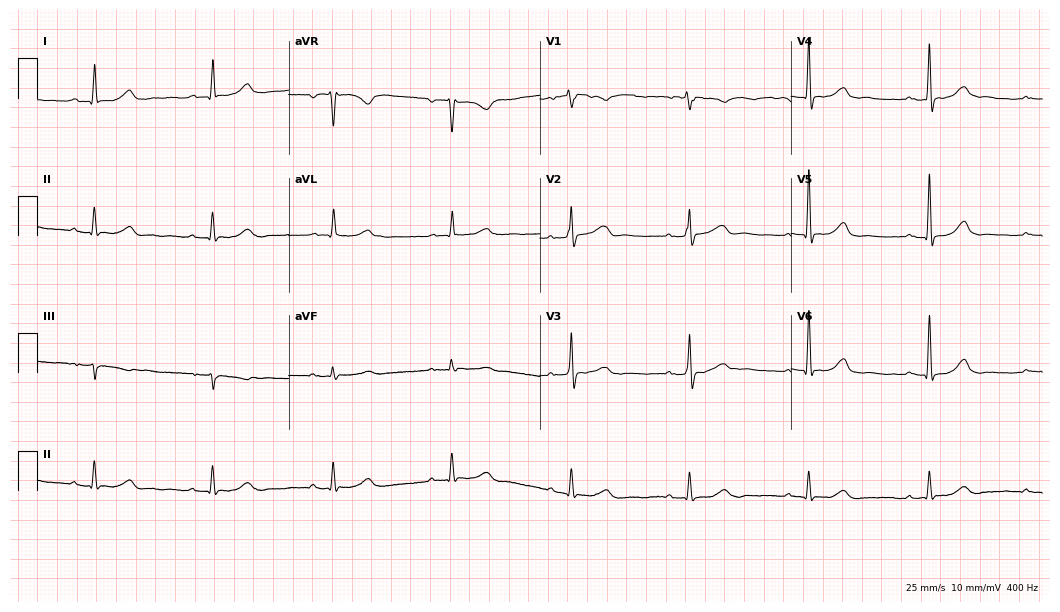
ECG (10.2-second recording at 400 Hz) — a 78-year-old woman. Labelled as a normal ECG.